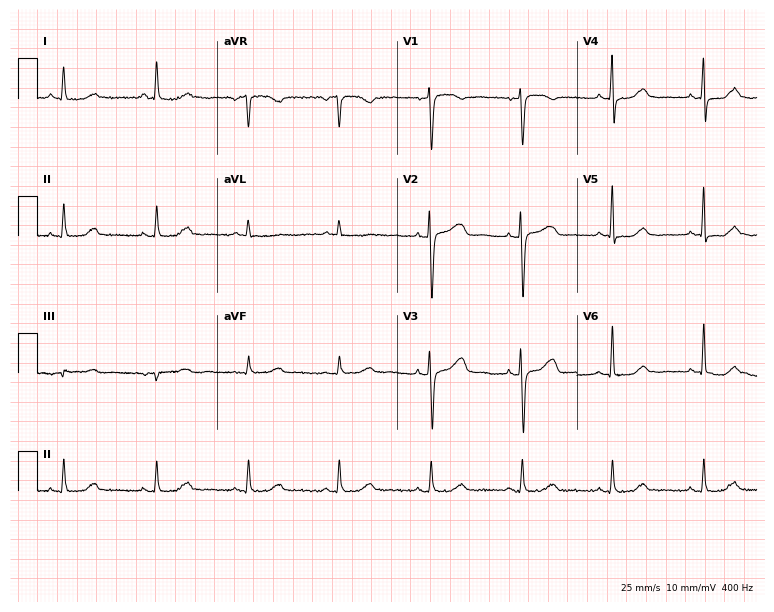
12-lead ECG from a female patient, 83 years old (7.3-second recording at 400 Hz). Recorded interpretation: within normal limits.